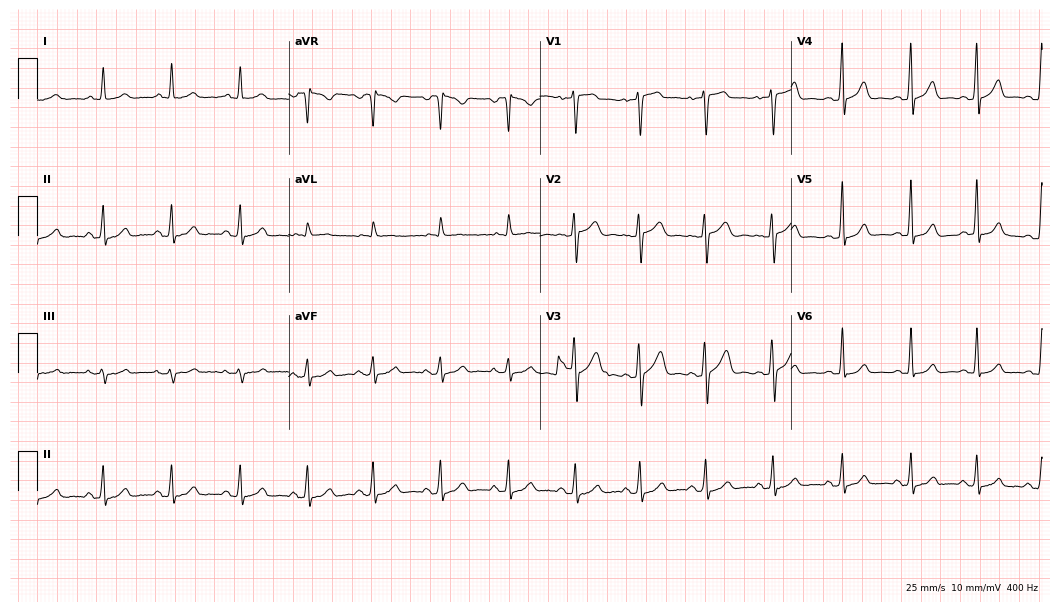
Standard 12-lead ECG recorded from a female patient, 31 years old. Read as a normal ECG.